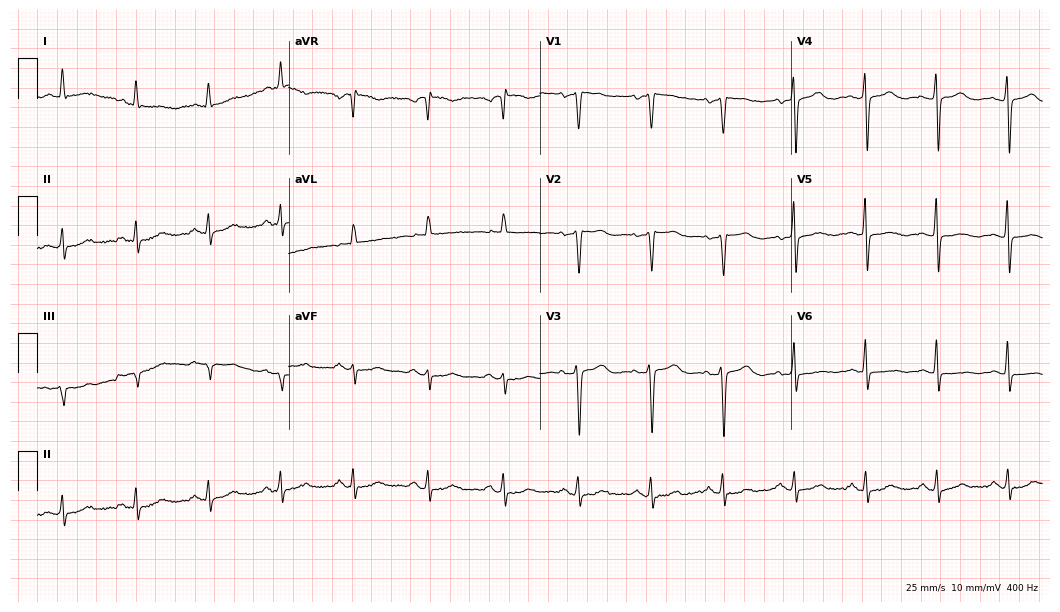
Electrocardiogram, a 54-year-old female patient. Of the six screened findings (first-degree AV block, right bundle branch block, left bundle branch block, sinus bradycardia, atrial fibrillation, sinus tachycardia), none is recorded. Findings outside these six are not listed.